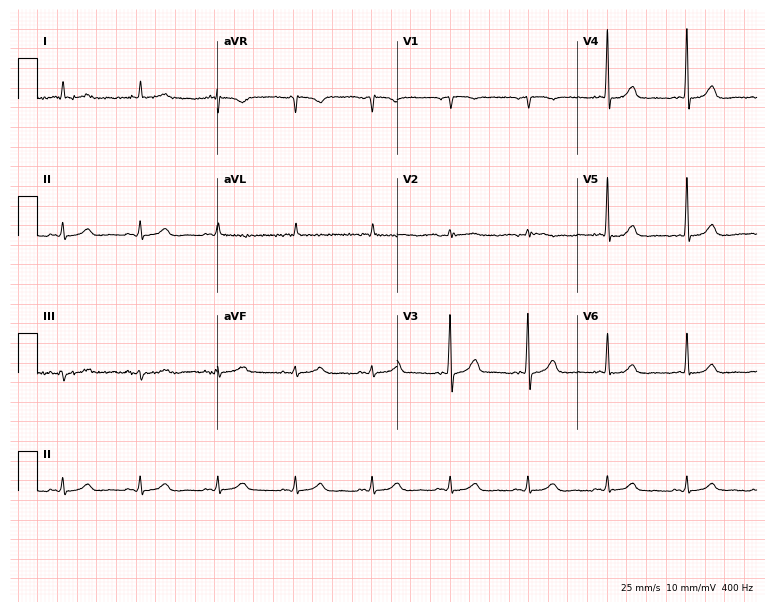
Electrocardiogram (7.3-second recording at 400 Hz), an 85-year-old male patient. Overall reading on record: normal ECG.